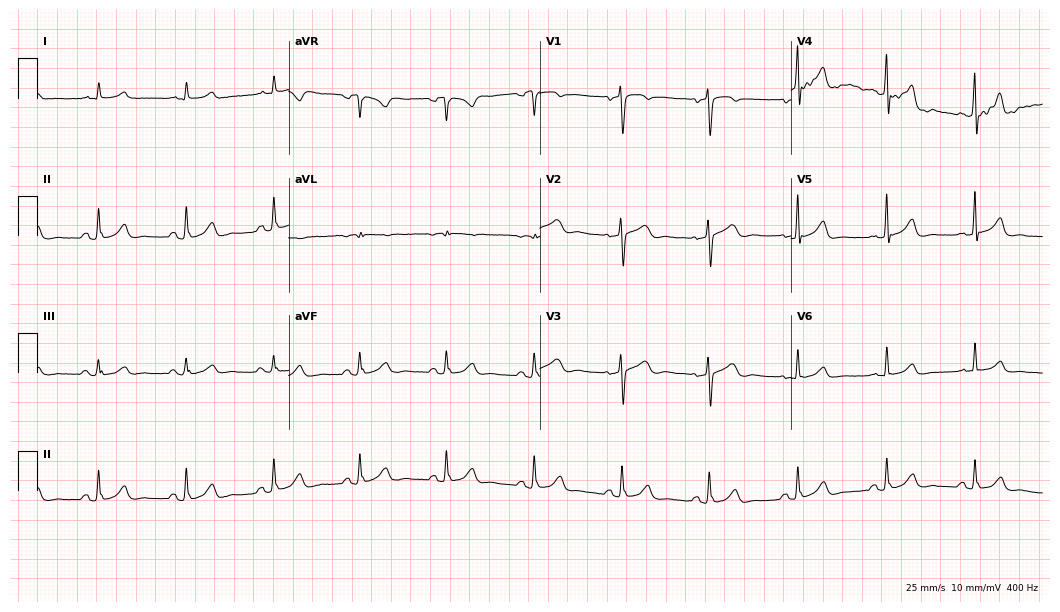
ECG — a 61-year-old man. Labelled as a normal ECG.